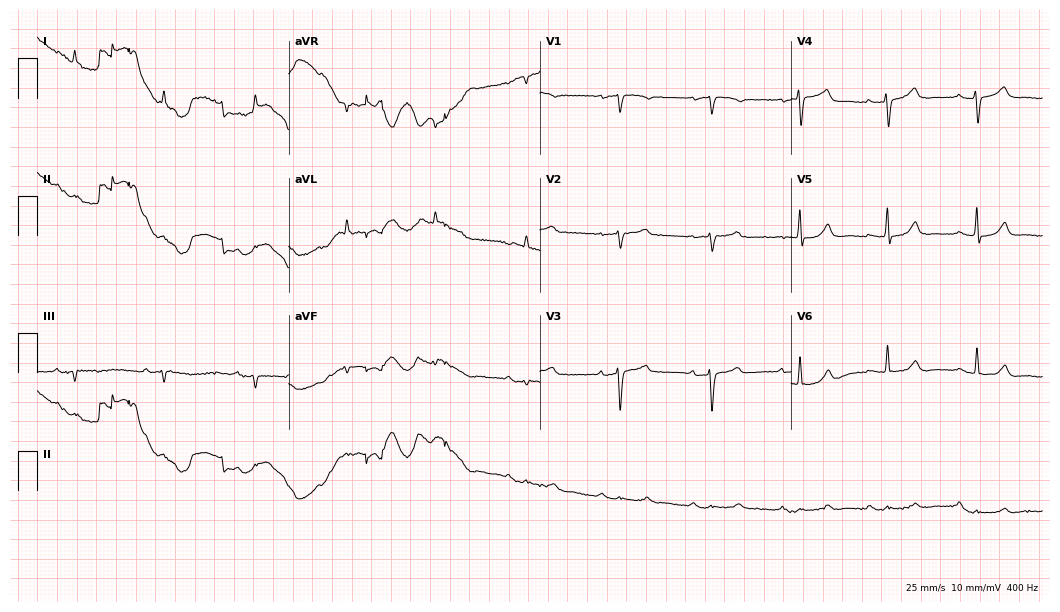
ECG (10.2-second recording at 400 Hz) — an 80-year-old female patient. Screened for six findings — first-degree AV block, right bundle branch block, left bundle branch block, sinus bradycardia, atrial fibrillation, sinus tachycardia — none is recorded. Findings outside these six are not listed.